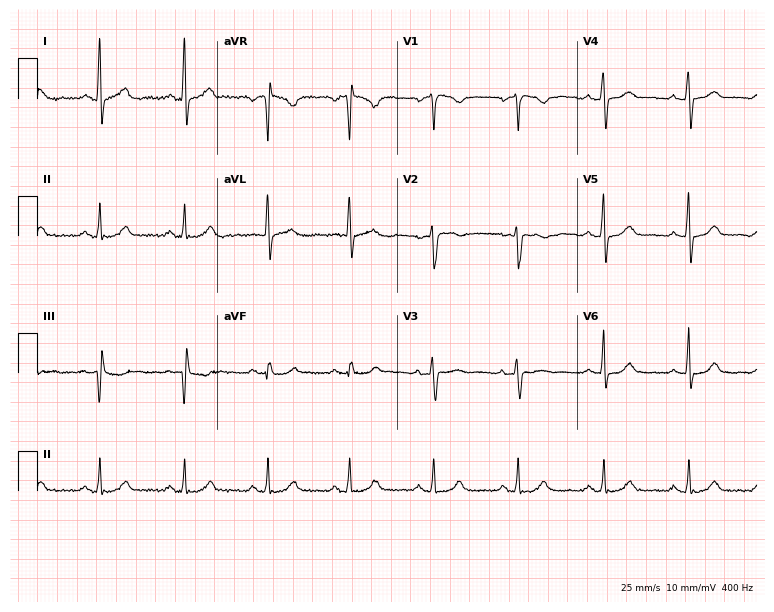
Electrocardiogram, a 56-year-old female patient. Overall reading on record: normal ECG.